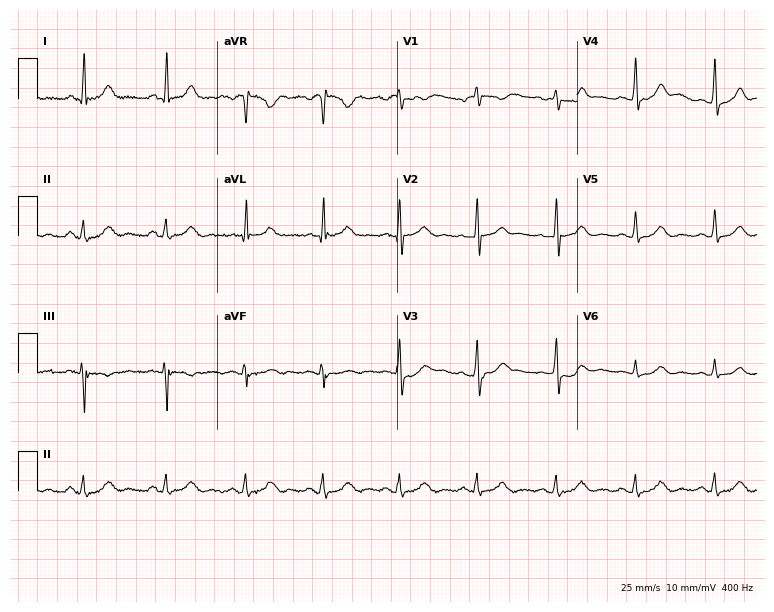
12-lead ECG from a female patient, 57 years old (7.3-second recording at 400 Hz). No first-degree AV block, right bundle branch block (RBBB), left bundle branch block (LBBB), sinus bradycardia, atrial fibrillation (AF) or sinus tachycardia recorded for this tracing. Only these six findings were labelled.